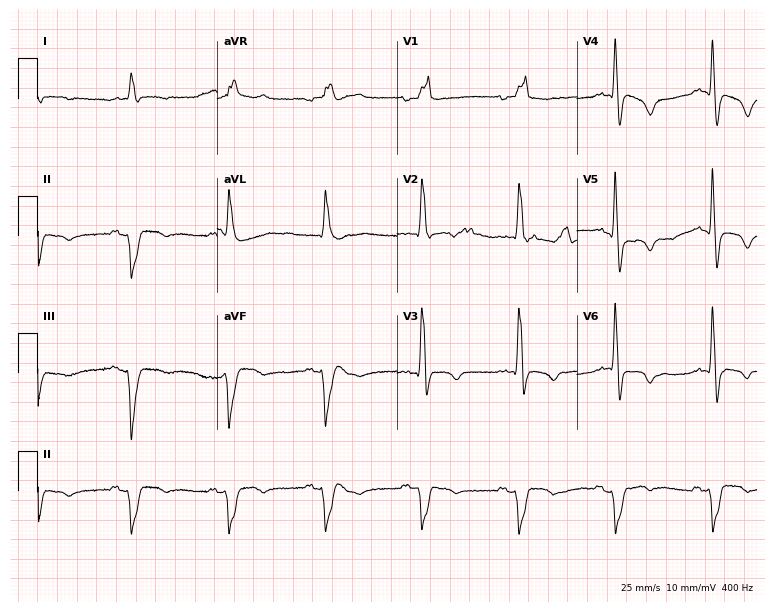
12-lead ECG from a 67-year-old female patient. Shows right bundle branch block (RBBB).